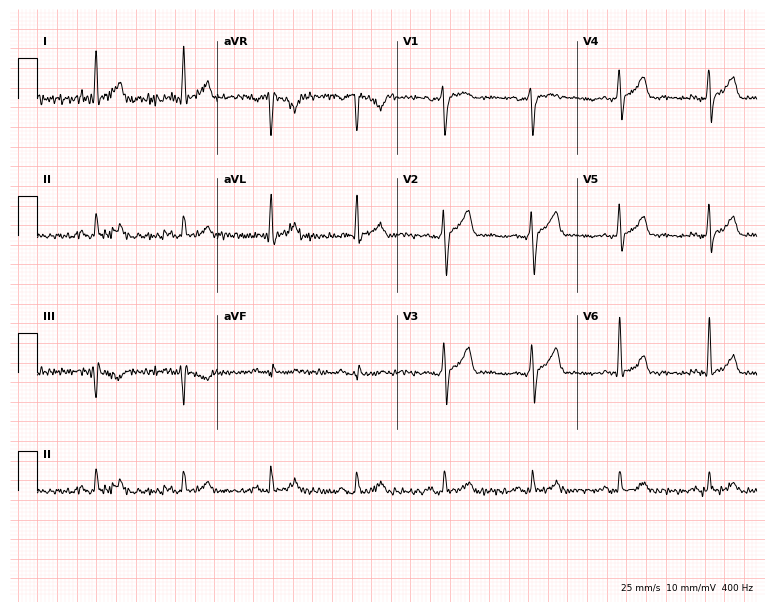
Resting 12-lead electrocardiogram (7.3-second recording at 400 Hz). Patient: a male, 53 years old. Read as a normal ECG.